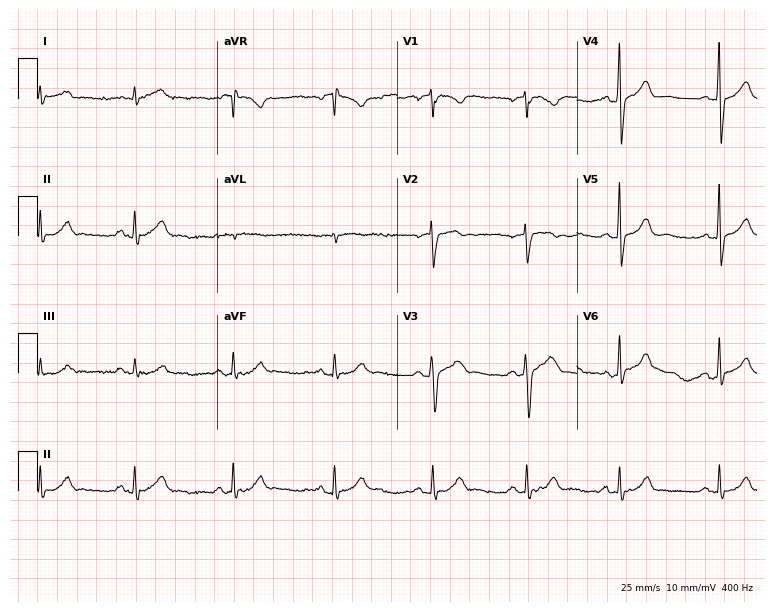
Resting 12-lead electrocardiogram. Patient: a 45-year-old man. Read as a normal ECG.